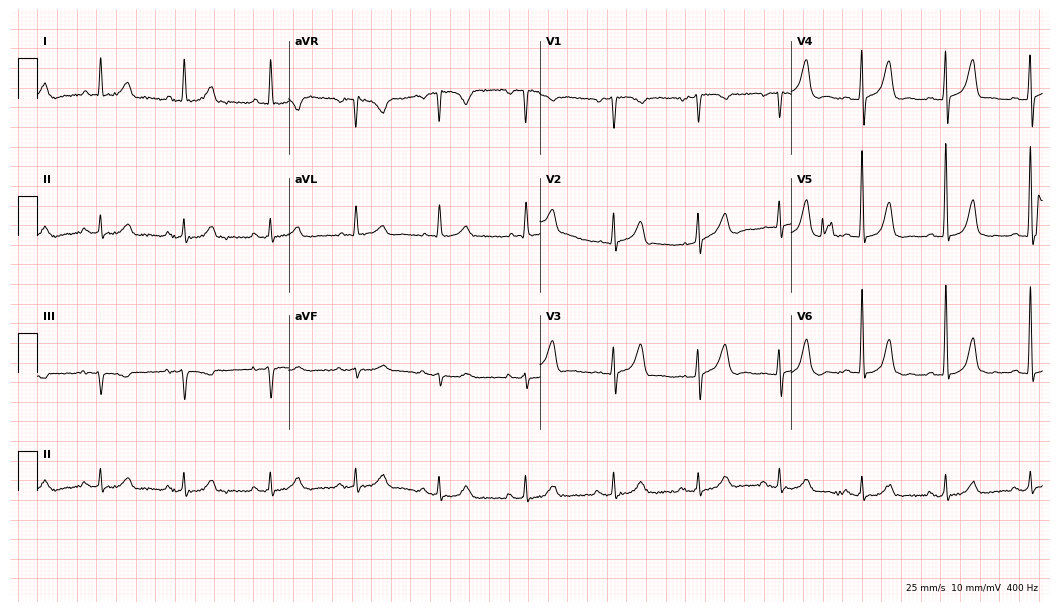
12-lead ECG (10.2-second recording at 400 Hz) from a female, 74 years old. Screened for six findings — first-degree AV block, right bundle branch block (RBBB), left bundle branch block (LBBB), sinus bradycardia, atrial fibrillation (AF), sinus tachycardia — none is recorded. Other findings, if any, are not listed.